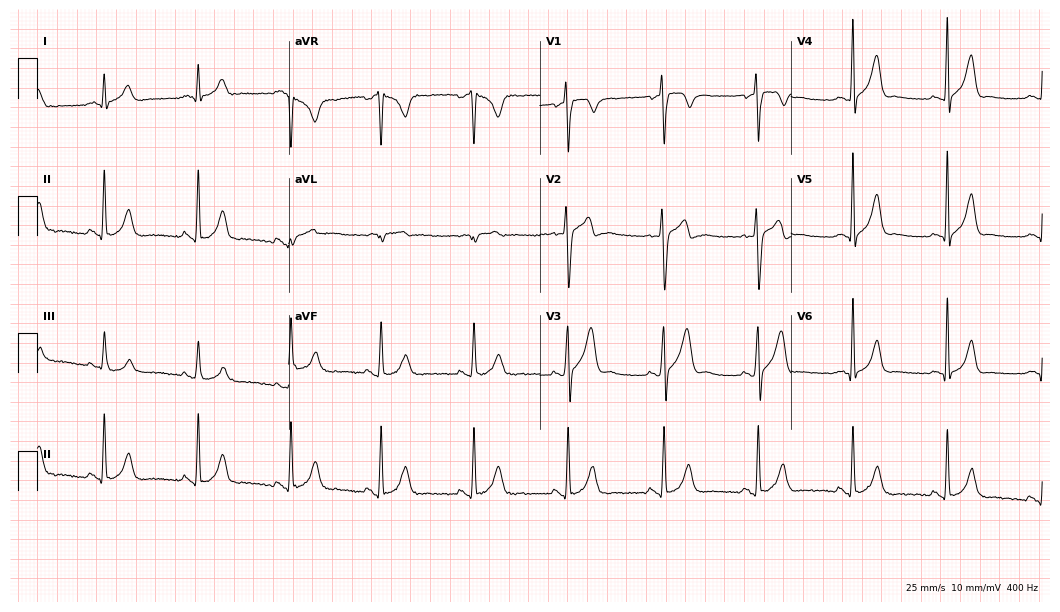
ECG — a 23-year-old male. Screened for six findings — first-degree AV block, right bundle branch block (RBBB), left bundle branch block (LBBB), sinus bradycardia, atrial fibrillation (AF), sinus tachycardia — none is recorded. Findings outside these six are not listed.